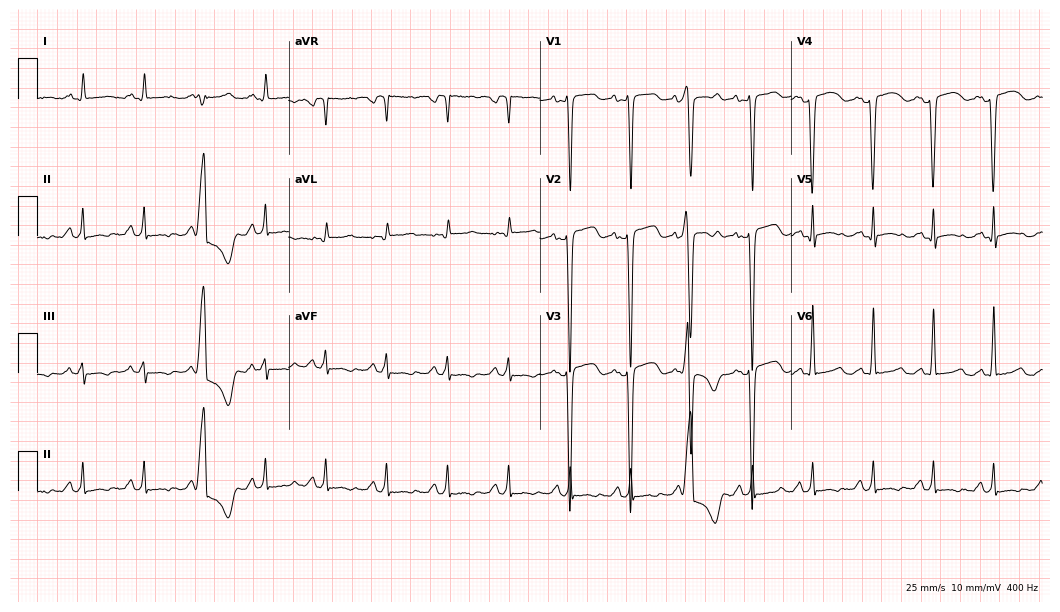
Electrocardiogram, a 55-year-old woman. Of the six screened findings (first-degree AV block, right bundle branch block, left bundle branch block, sinus bradycardia, atrial fibrillation, sinus tachycardia), none is recorded.